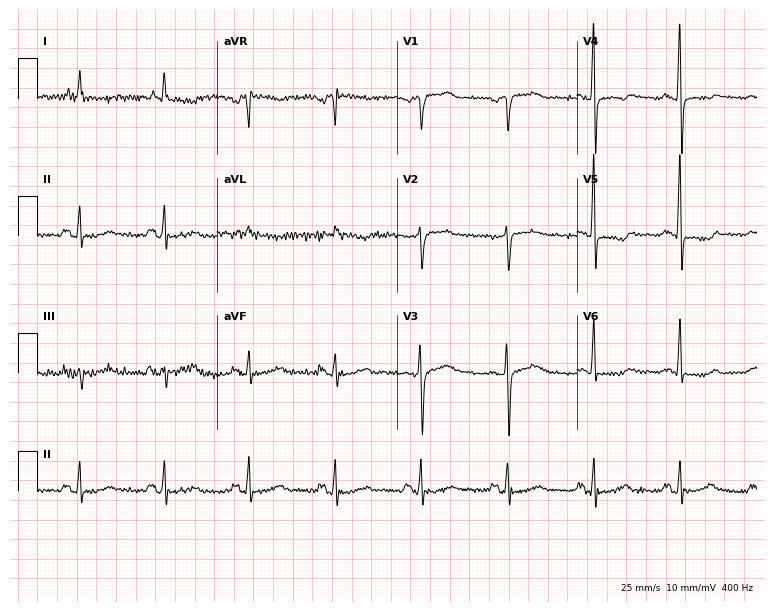
12-lead ECG from a 49-year-old man. No first-degree AV block, right bundle branch block (RBBB), left bundle branch block (LBBB), sinus bradycardia, atrial fibrillation (AF) or sinus tachycardia recorded for this tracing. Findings outside these six are not listed.